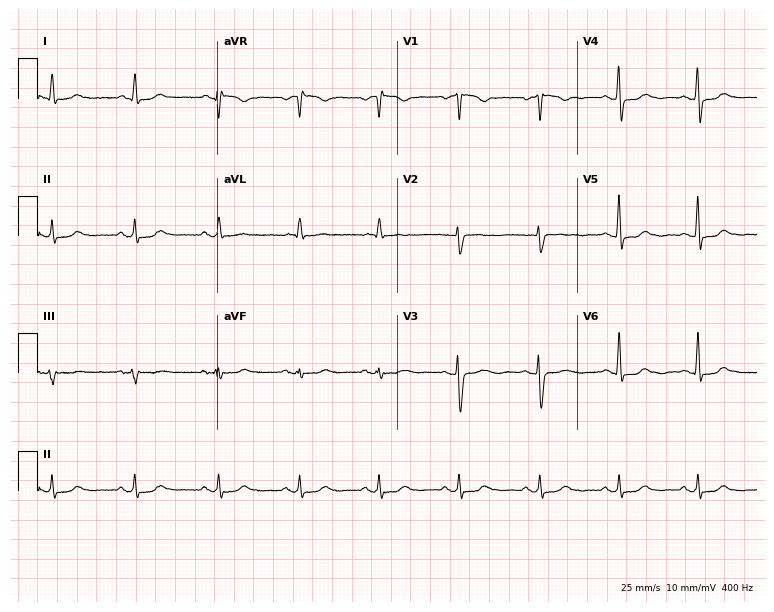
Electrocardiogram, a 63-year-old female patient. Of the six screened findings (first-degree AV block, right bundle branch block, left bundle branch block, sinus bradycardia, atrial fibrillation, sinus tachycardia), none is recorded. Other findings, if any, are not listed.